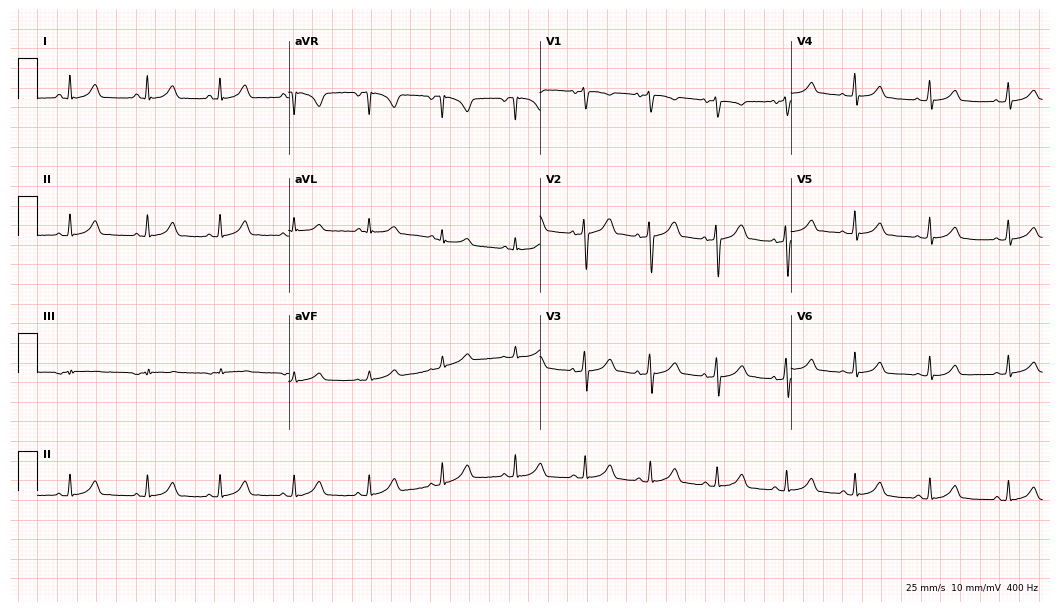
12-lead ECG from a 24-year-old female patient. Recorded interpretation: within normal limits.